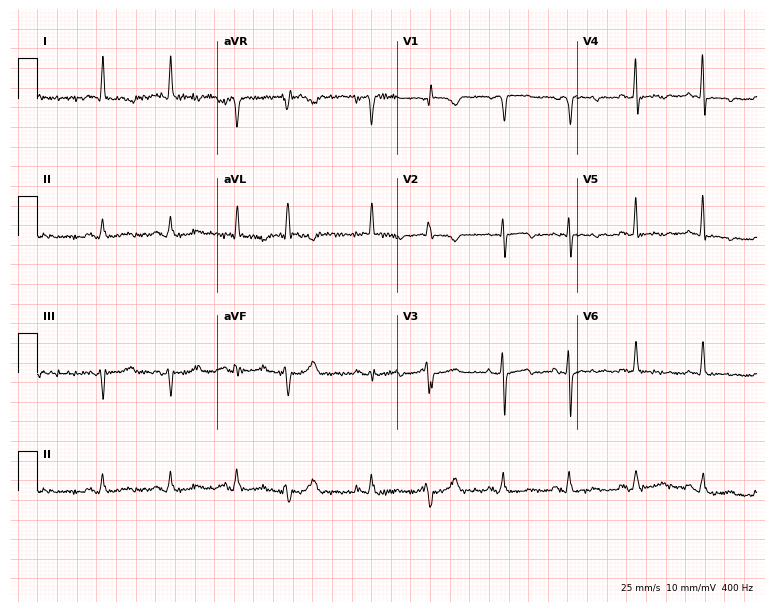
12-lead ECG from a female patient, 75 years old. Labelled as a normal ECG.